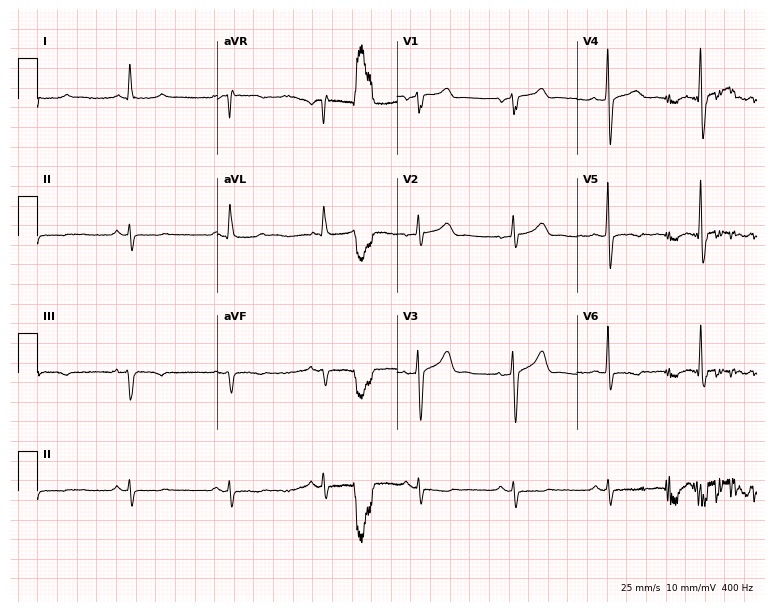
12-lead ECG from a man, 57 years old. No first-degree AV block, right bundle branch block (RBBB), left bundle branch block (LBBB), sinus bradycardia, atrial fibrillation (AF) or sinus tachycardia recorded for this tracing.